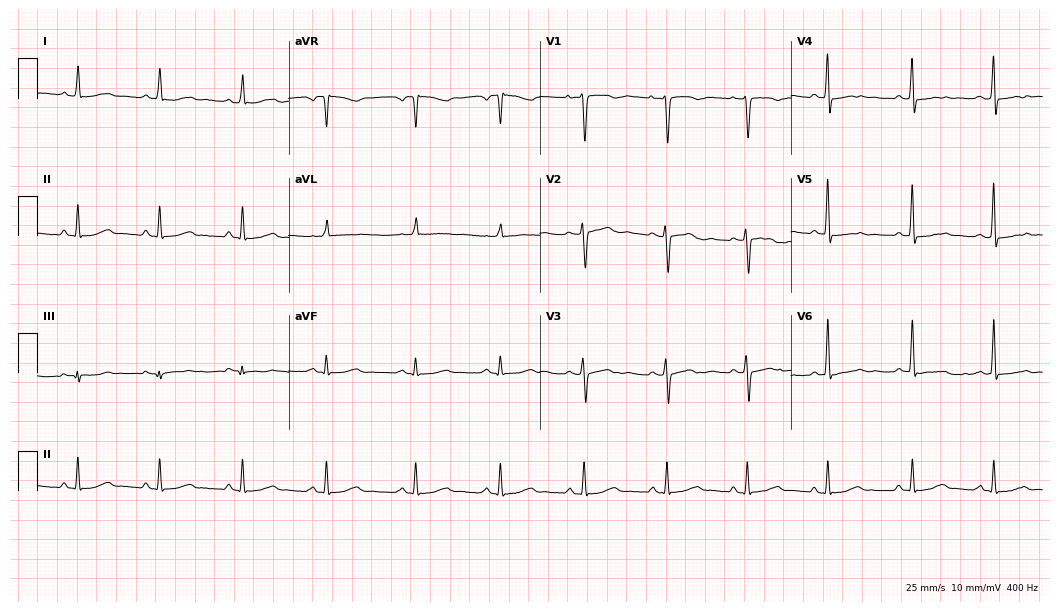
Standard 12-lead ECG recorded from a female, 56 years old (10.2-second recording at 400 Hz). None of these six findings is recorded: first-degree AV block, right bundle branch block (RBBB), left bundle branch block (LBBB), sinus bradycardia, atrial fibrillation (AF), sinus tachycardia. Other findings, if any, are not listed.